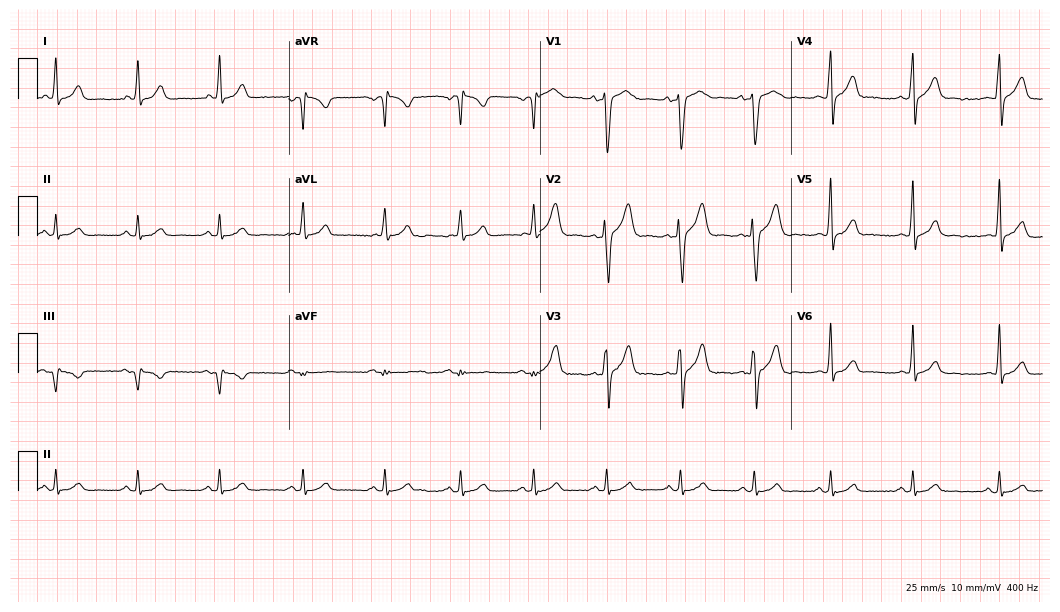
12-lead ECG from a 28-year-old male patient. Labelled as a normal ECG.